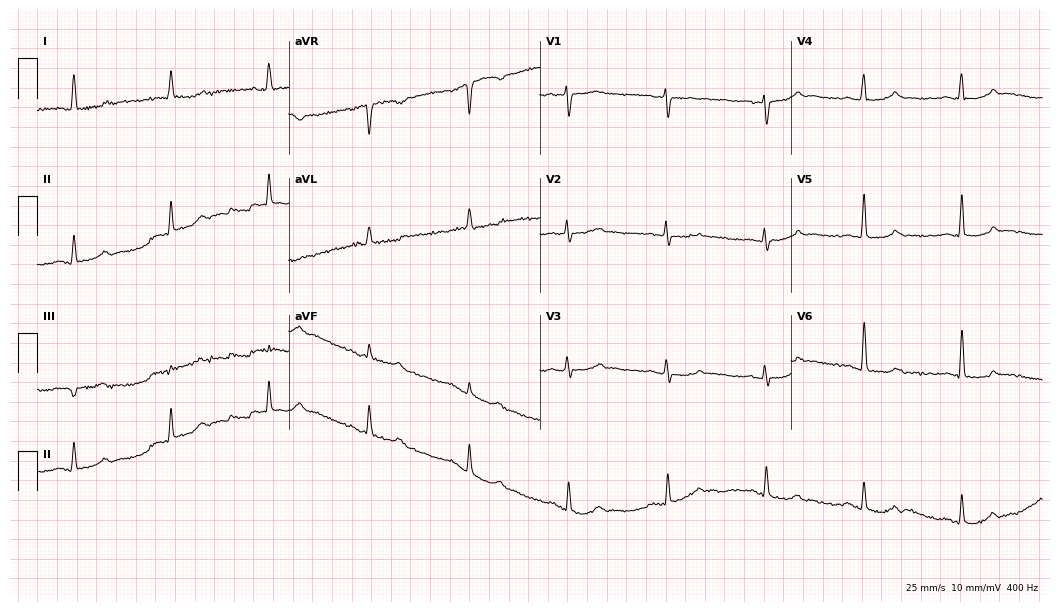
Resting 12-lead electrocardiogram (10.2-second recording at 400 Hz). Patient: a female, 75 years old. None of these six findings is recorded: first-degree AV block, right bundle branch block, left bundle branch block, sinus bradycardia, atrial fibrillation, sinus tachycardia.